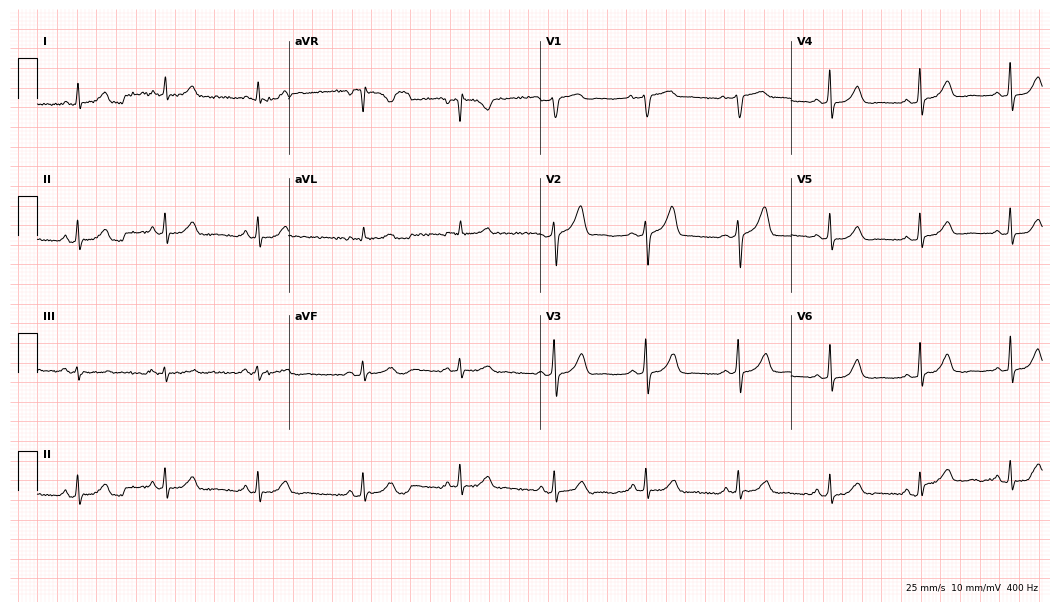
12-lead ECG from a female patient, 46 years old (10.2-second recording at 400 Hz). No first-degree AV block, right bundle branch block (RBBB), left bundle branch block (LBBB), sinus bradycardia, atrial fibrillation (AF) or sinus tachycardia recorded for this tracing. Only these six findings were labelled.